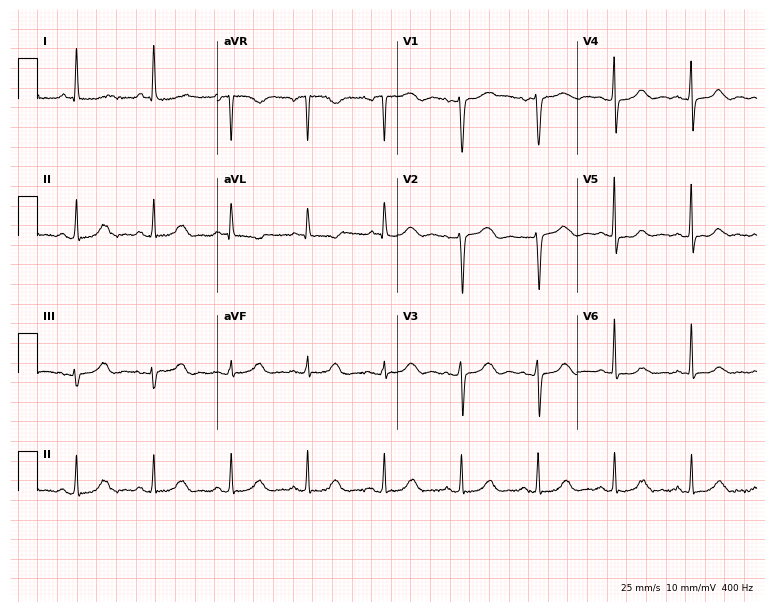
Standard 12-lead ECG recorded from a 60-year-old woman (7.3-second recording at 400 Hz). None of these six findings is recorded: first-degree AV block, right bundle branch block, left bundle branch block, sinus bradycardia, atrial fibrillation, sinus tachycardia.